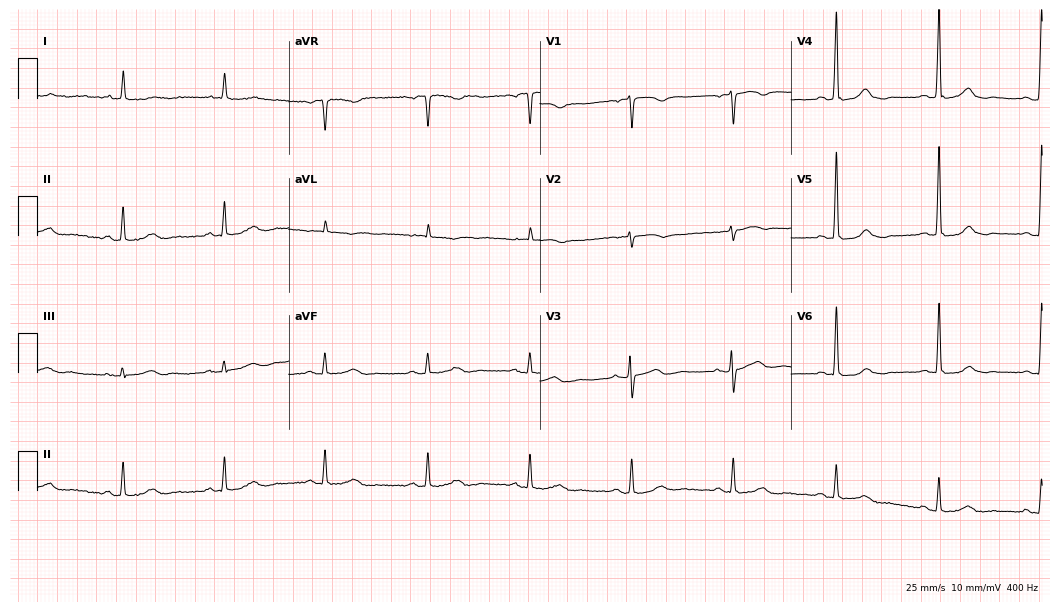
12-lead ECG from a 67-year-old woman. Screened for six findings — first-degree AV block, right bundle branch block, left bundle branch block, sinus bradycardia, atrial fibrillation, sinus tachycardia — none is recorded.